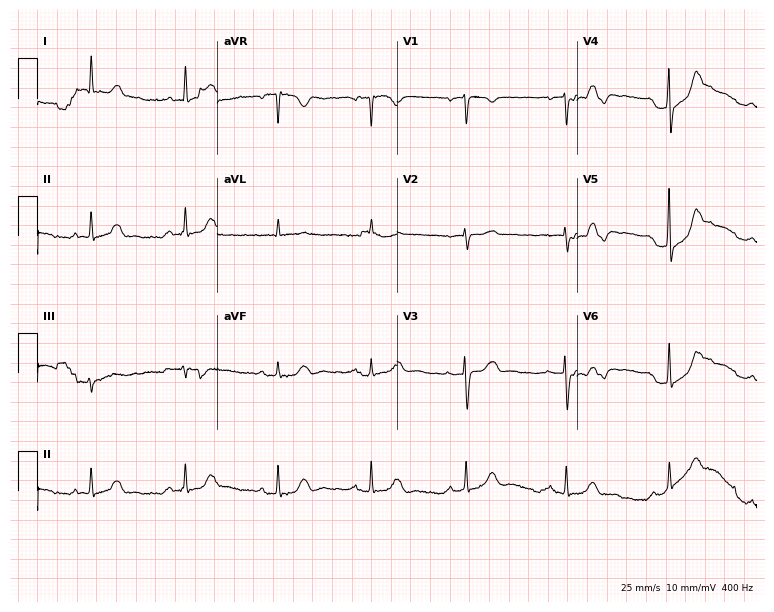
12-lead ECG from a 65-year-old female. Labelled as a normal ECG.